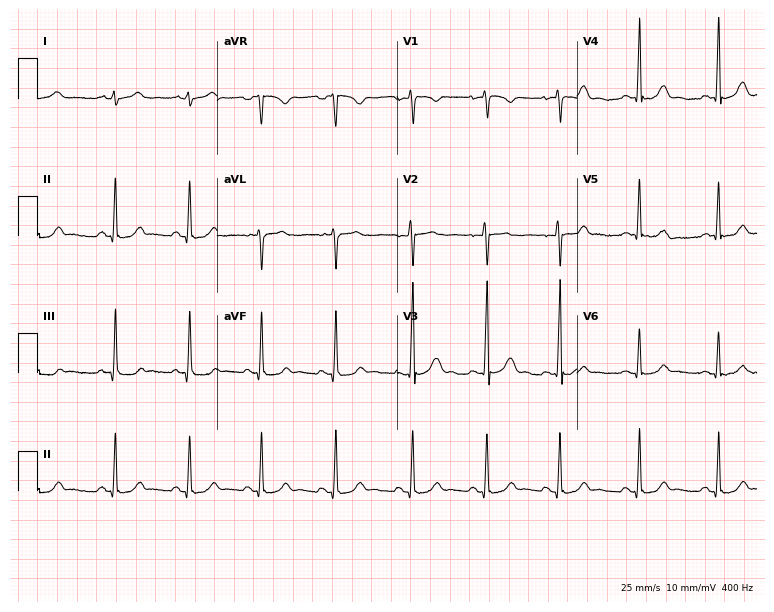
Electrocardiogram, a 23-year-old female. Of the six screened findings (first-degree AV block, right bundle branch block, left bundle branch block, sinus bradycardia, atrial fibrillation, sinus tachycardia), none is recorded. Findings outside these six are not listed.